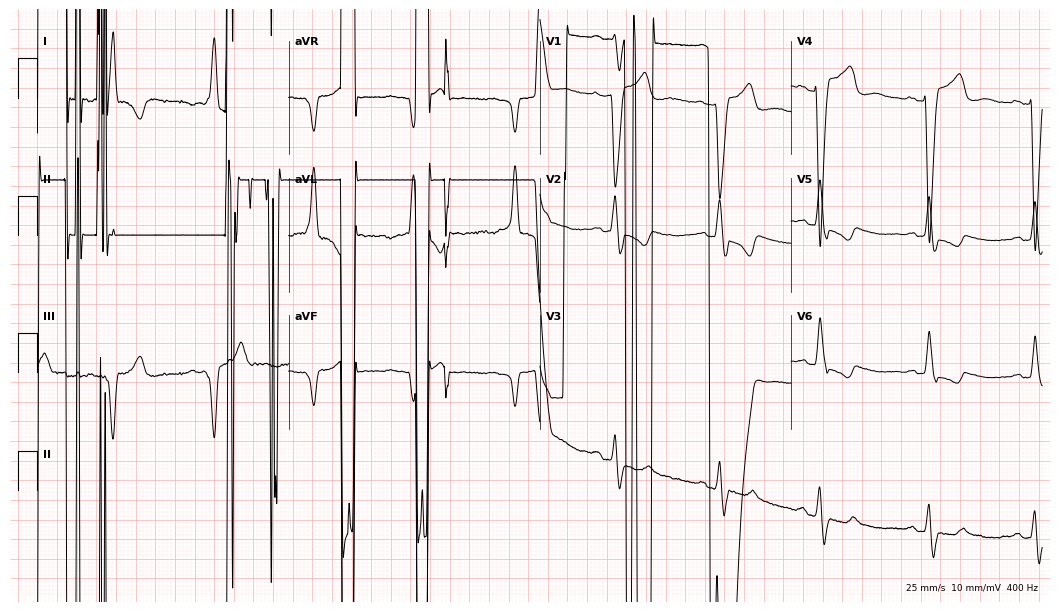
ECG — a female, 85 years old. Screened for six findings — first-degree AV block, right bundle branch block (RBBB), left bundle branch block (LBBB), sinus bradycardia, atrial fibrillation (AF), sinus tachycardia — none is recorded. Other findings, if any, are not listed.